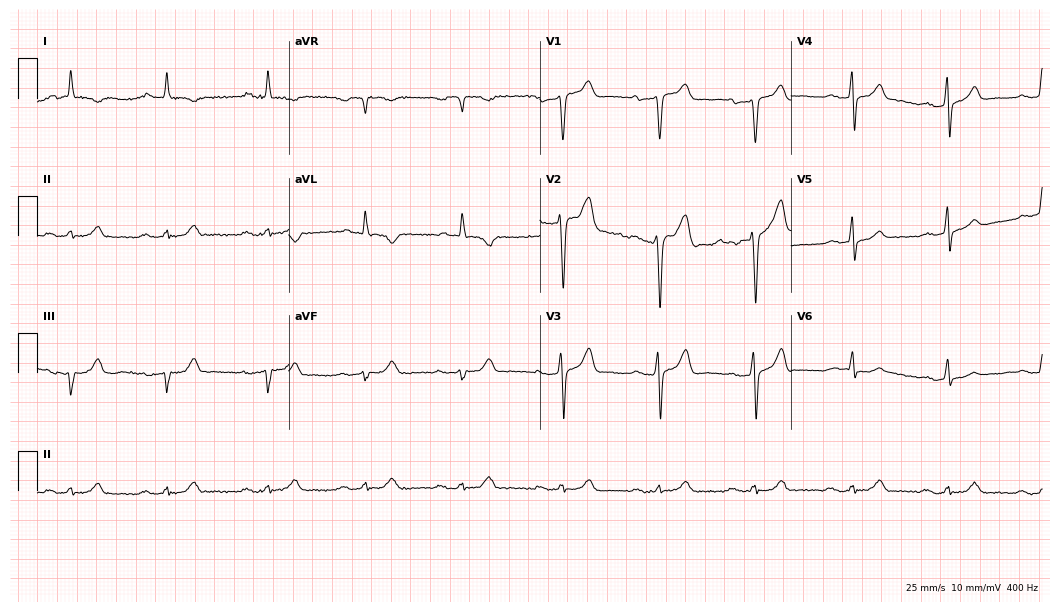
Standard 12-lead ECG recorded from a 58-year-old man. The tracing shows first-degree AV block.